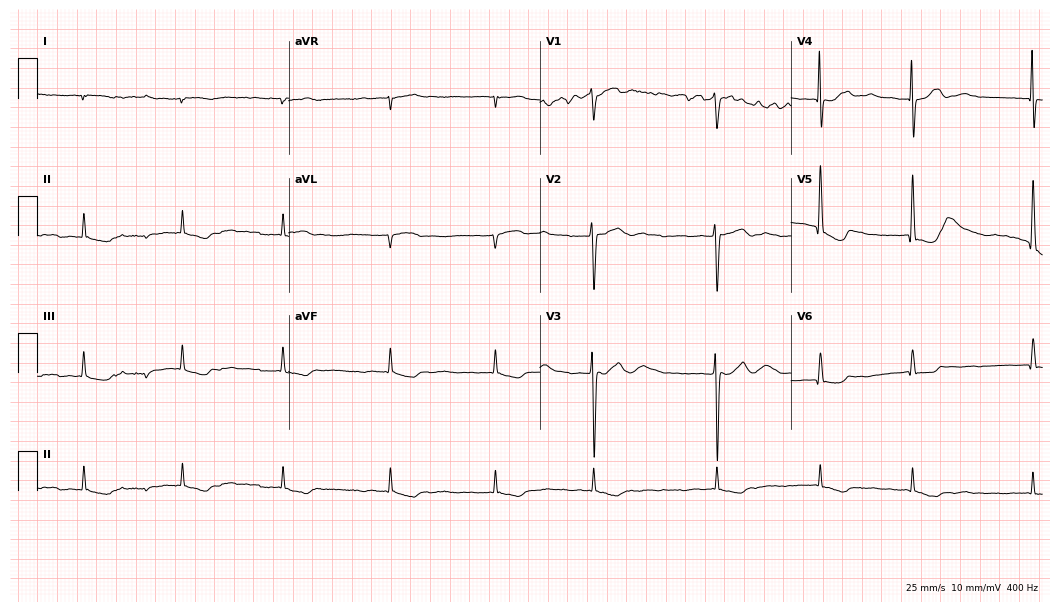
12-lead ECG (10.2-second recording at 400 Hz) from a female, 74 years old. Screened for six findings — first-degree AV block, right bundle branch block, left bundle branch block, sinus bradycardia, atrial fibrillation, sinus tachycardia — none is recorded. Other findings, if any, are not listed.